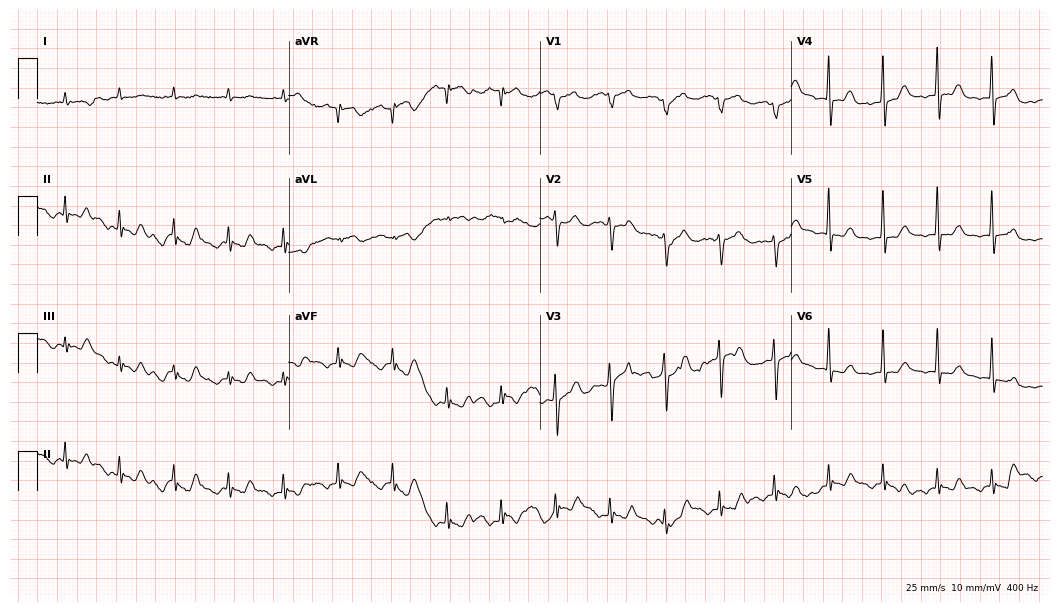
12-lead ECG from an 83-year-old male (10.2-second recording at 400 Hz). No first-degree AV block, right bundle branch block, left bundle branch block, sinus bradycardia, atrial fibrillation or sinus tachycardia recorded for this tracing.